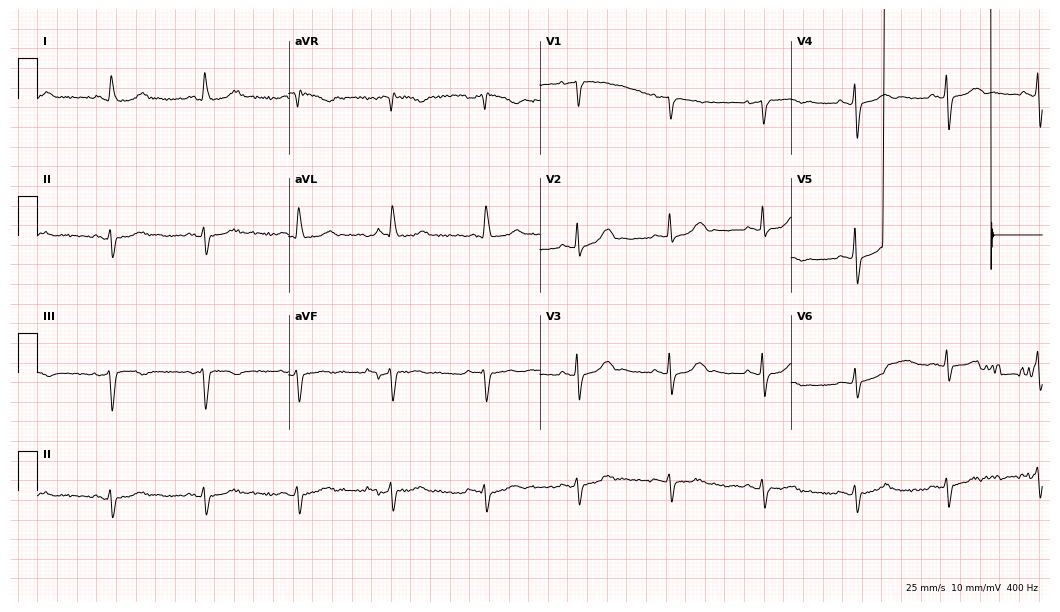
Standard 12-lead ECG recorded from a female patient, 77 years old. None of these six findings is recorded: first-degree AV block, right bundle branch block, left bundle branch block, sinus bradycardia, atrial fibrillation, sinus tachycardia. Findings outside these six are not listed.